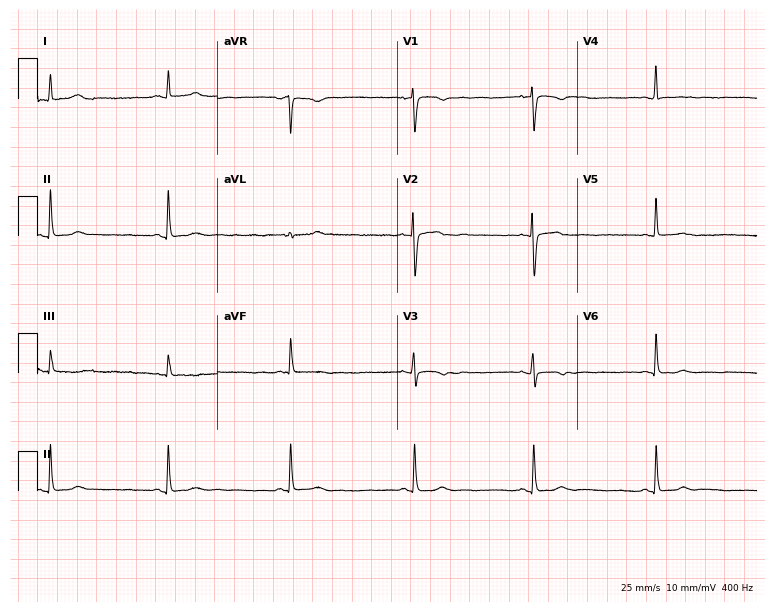
Resting 12-lead electrocardiogram. Patient: a female, 20 years old. The tracing shows sinus bradycardia (a sinus rate of 50 beats per minute or less).